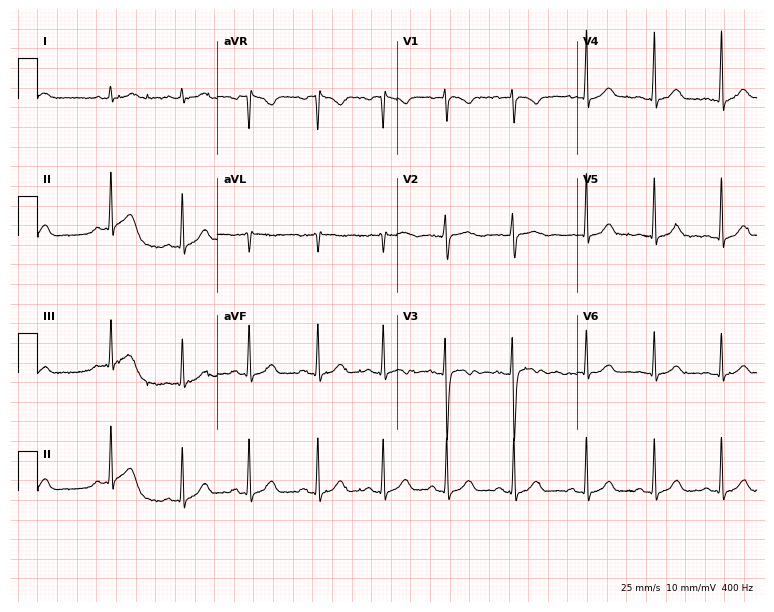
12-lead ECG from a female, 19 years old. Recorded interpretation: within normal limits.